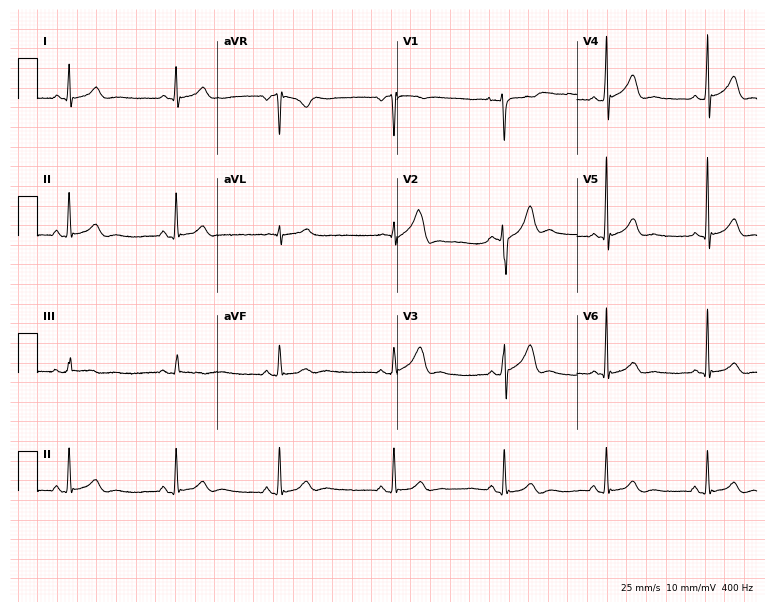
Standard 12-lead ECG recorded from a 43-year-old man. Read as a normal ECG.